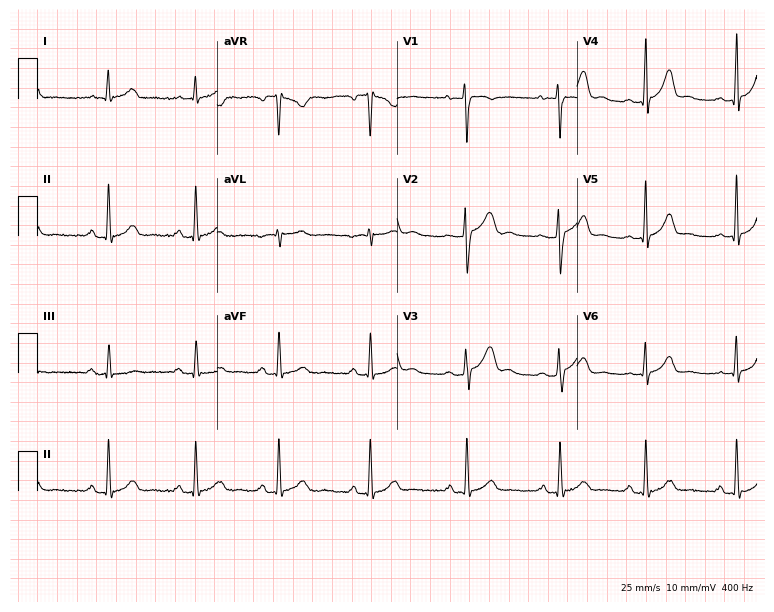
Resting 12-lead electrocardiogram (7.3-second recording at 400 Hz). Patient: a 23-year-old female. None of these six findings is recorded: first-degree AV block, right bundle branch block (RBBB), left bundle branch block (LBBB), sinus bradycardia, atrial fibrillation (AF), sinus tachycardia. Only these six findings were labelled.